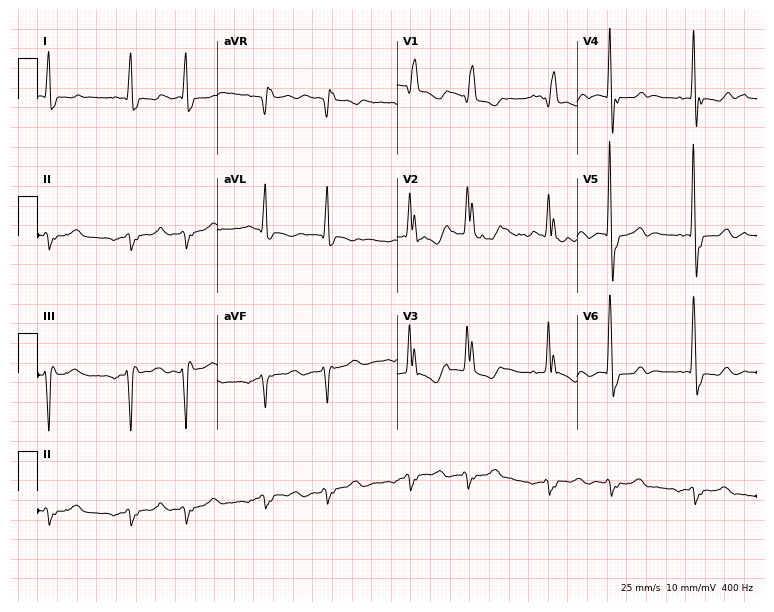
ECG — a 77-year-old man. Findings include right bundle branch block.